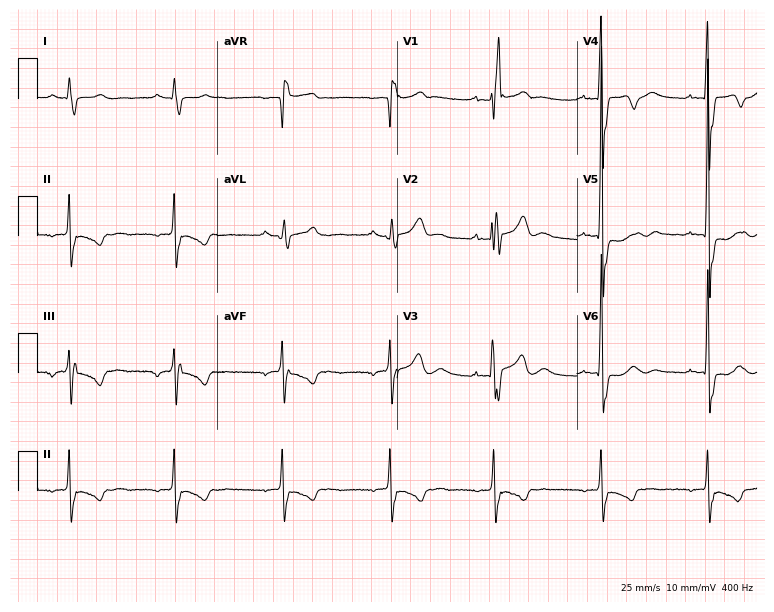
12-lead ECG (7.3-second recording at 400 Hz) from a 51-year-old male. Findings include right bundle branch block.